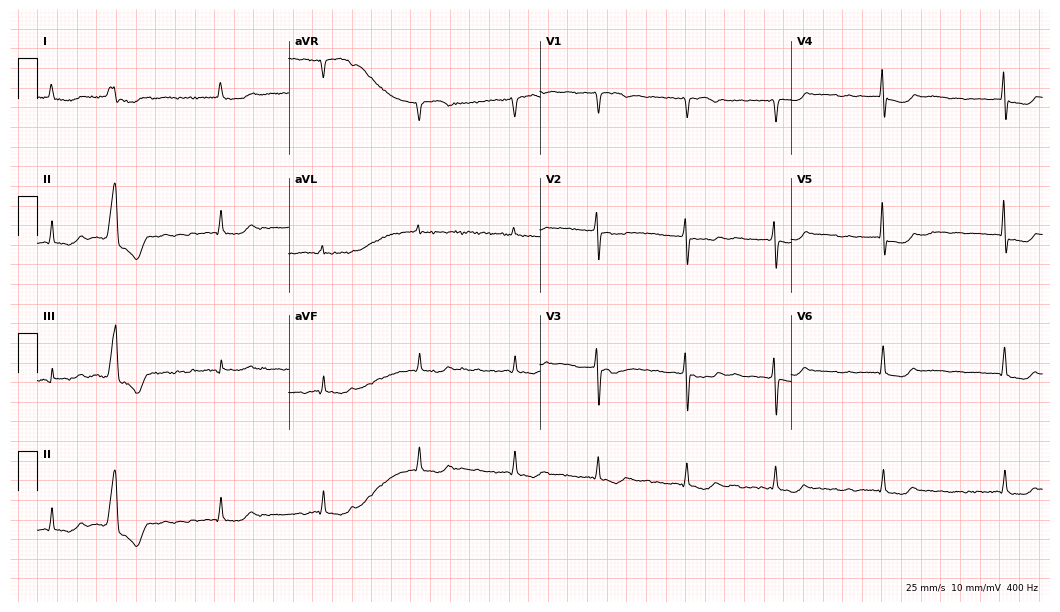
ECG (10.2-second recording at 400 Hz) — an 81-year-old woman. Findings include atrial fibrillation.